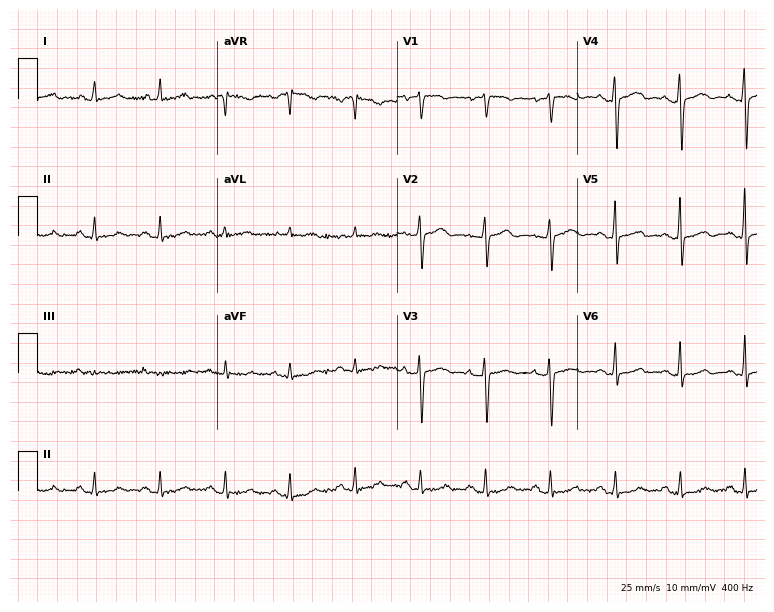
Electrocardiogram, a 49-year-old female. Overall reading on record: normal ECG.